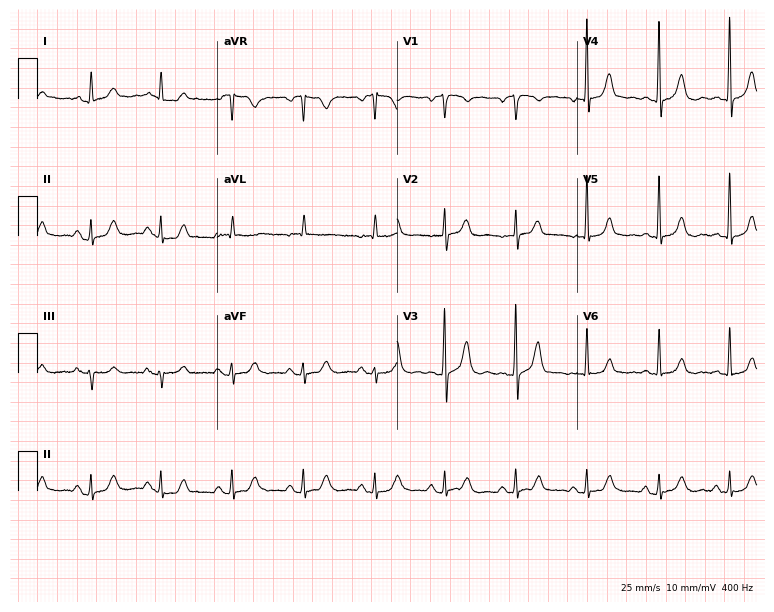
12-lead ECG from a 68-year-old female patient. Labelled as a normal ECG.